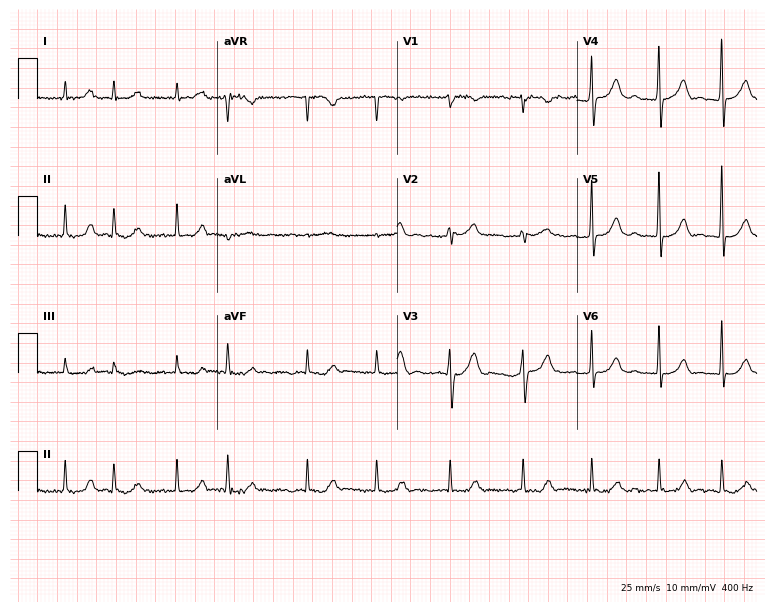
12-lead ECG (7.3-second recording at 400 Hz) from a man, 81 years old. Screened for six findings — first-degree AV block, right bundle branch block, left bundle branch block, sinus bradycardia, atrial fibrillation, sinus tachycardia — none is recorded.